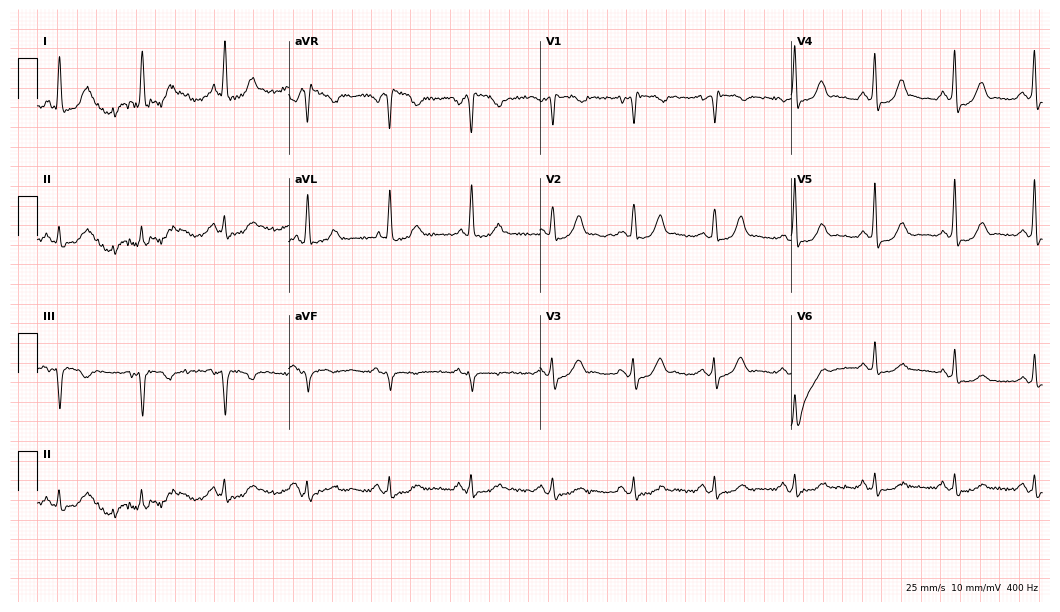
12-lead ECG from a male patient, 78 years old. No first-degree AV block, right bundle branch block, left bundle branch block, sinus bradycardia, atrial fibrillation or sinus tachycardia recorded for this tracing.